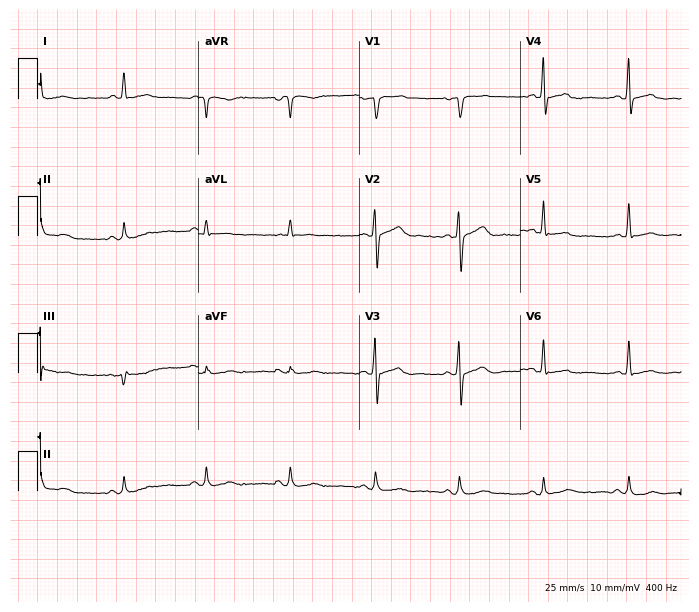
ECG (6.6-second recording at 400 Hz) — a 48-year-old man. Screened for six findings — first-degree AV block, right bundle branch block, left bundle branch block, sinus bradycardia, atrial fibrillation, sinus tachycardia — none is recorded.